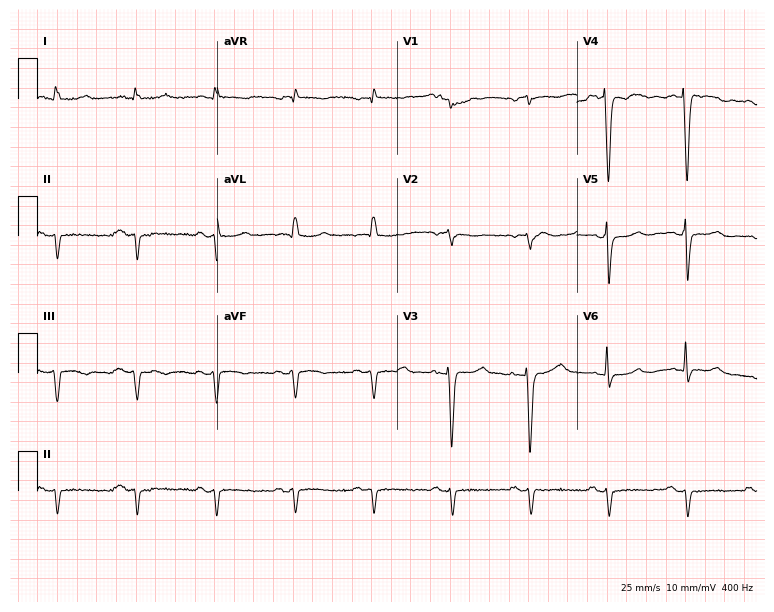
Resting 12-lead electrocardiogram (7.3-second recording at 400 Hz). Patient: a 72-year-old man. None of these six findings is recorded: first-degree AV block, right bundle branch block (RBBB), left bundle branch block (LBBB), sinus bradycardia, atrial fibrillation (AF), sinus tachycardia. Only these six findings were labelled.